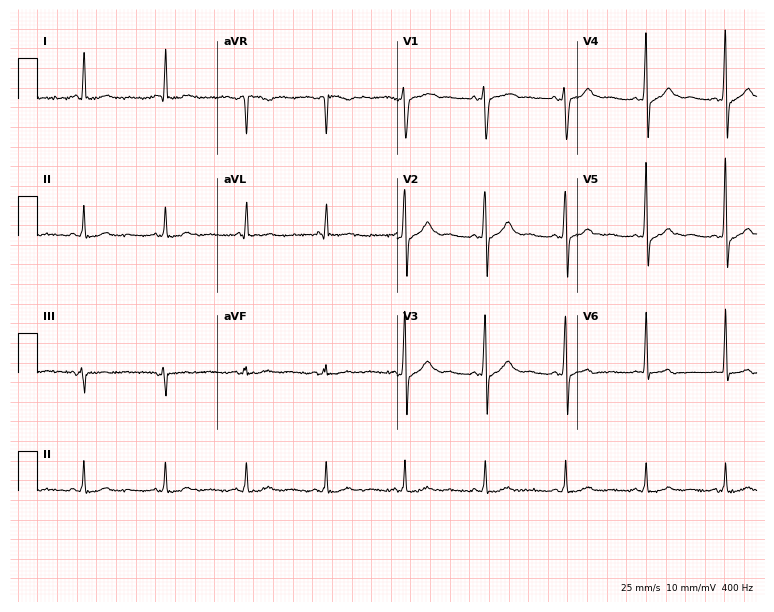
12-lead ECG from a 46-year-old male. Screened for six findings — first-degree AV block, right bundle branch block, left bundle branch block, sinus bradycardia, atrial fibrillation, sinus tachycardia — none is recorded. Other findings, if any, are not listed.